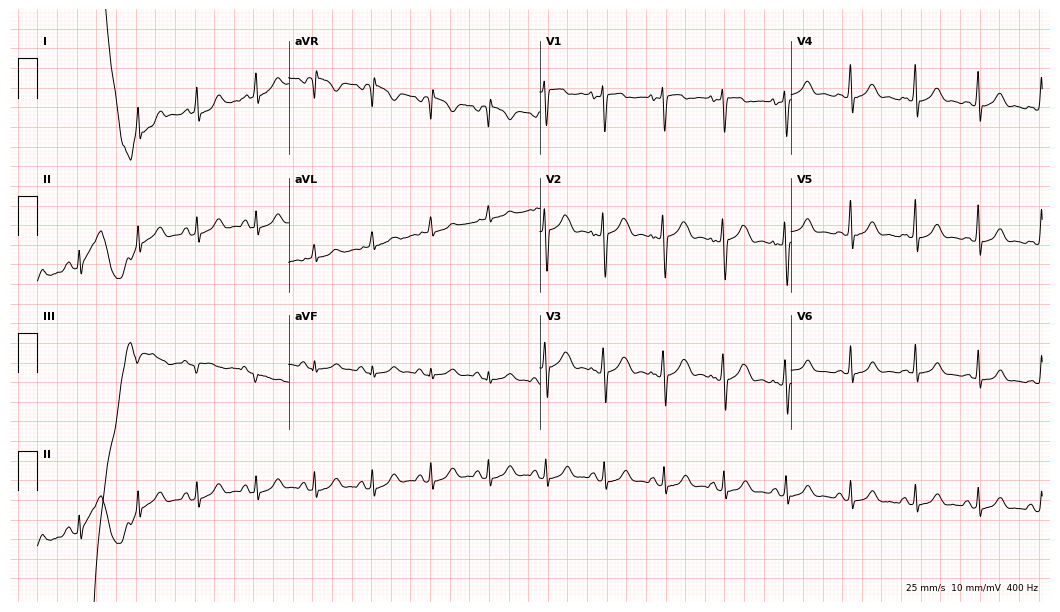
ECG — a woman, 33 years old. Screened for six findings — first-degree AV block, right bundle branch block, left bundle branch block, sinus bradycardia, atrial fibrillation, sinus tachycardia — none is recorded. Findings outside these six are not listed.